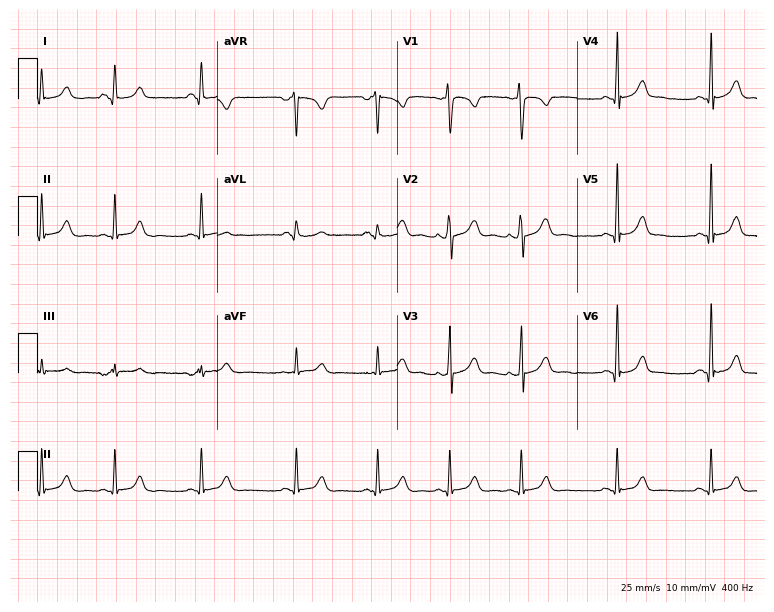
Electrocardiogram, a female, 17 years old. Overall reading on record: normal ECG.